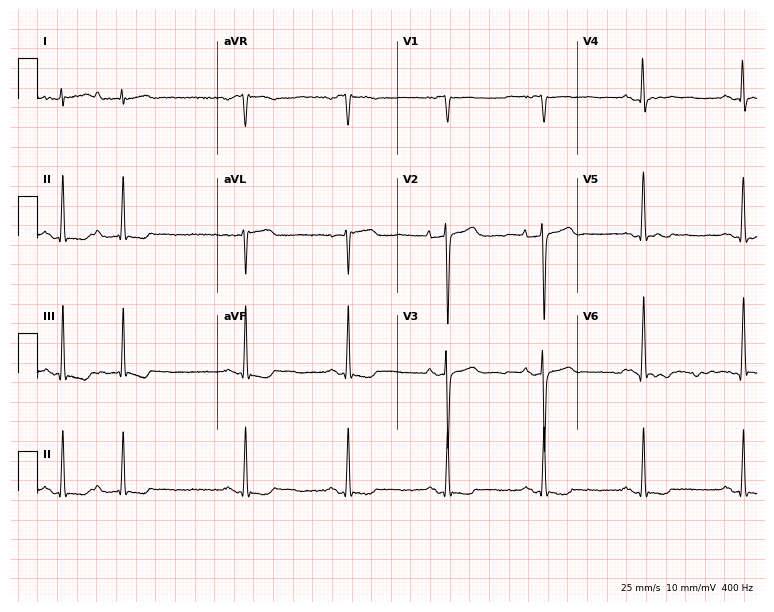
12-lead ECG (7.3-second recording at 400 Hz) from a female, 66 years old. Screened for six findings — first-degree AV block, right bundle branch block, left bundle branch block, sinus bradycardia, atrial fibrillation, sinus tachycardia — none is recorded.